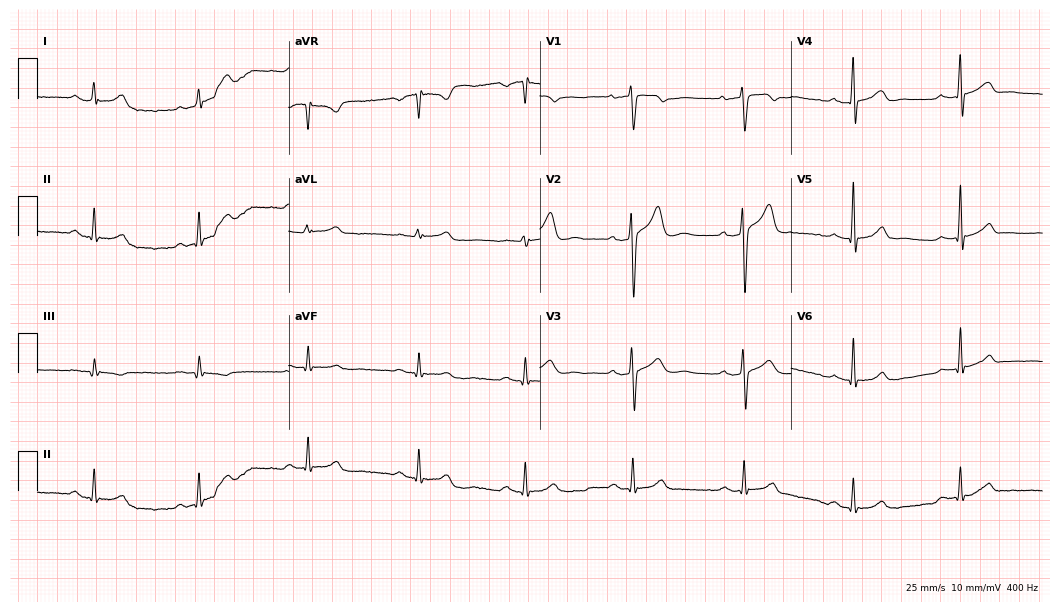
Electrocardiogram, a male patient, 41 years old. Overall reading on record: normal ECG.